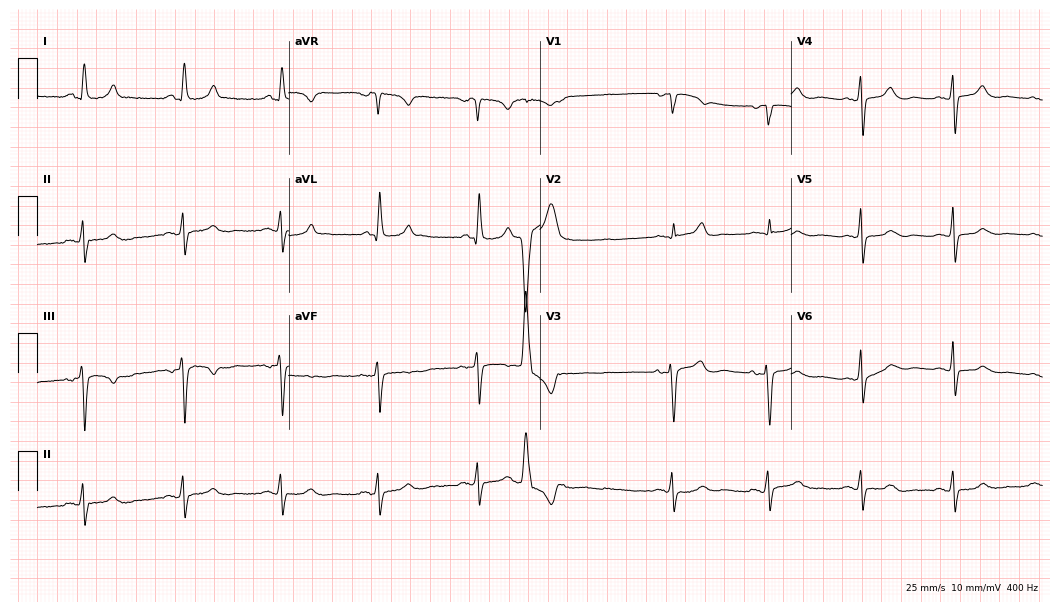
12-lead ECG from a 59-year-old female patient. Recorded interpretation: within normal limits.